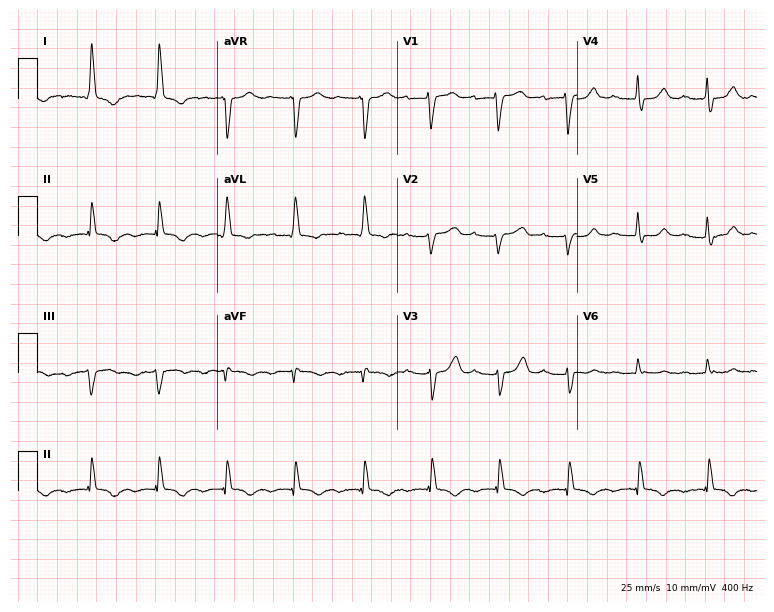
Resting 12-lead electrocardiogram. Patient: a female, 83 years old. None of these six findings is recorded: first-degree AV block, right bundle branch block, left bundle branch block, sinus bradycardia, atrial fibrillation, sinus tachycardia.